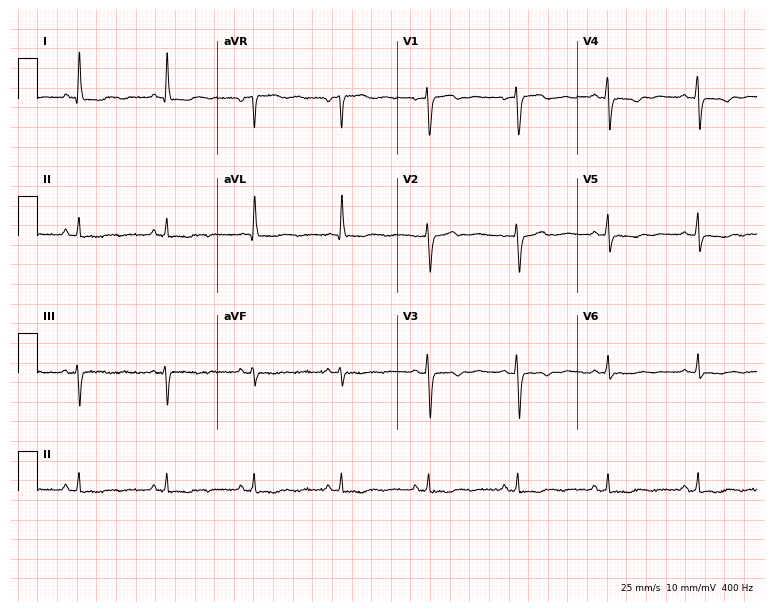
ECG — a female, 59 years old. Labelled as a normal ECG.